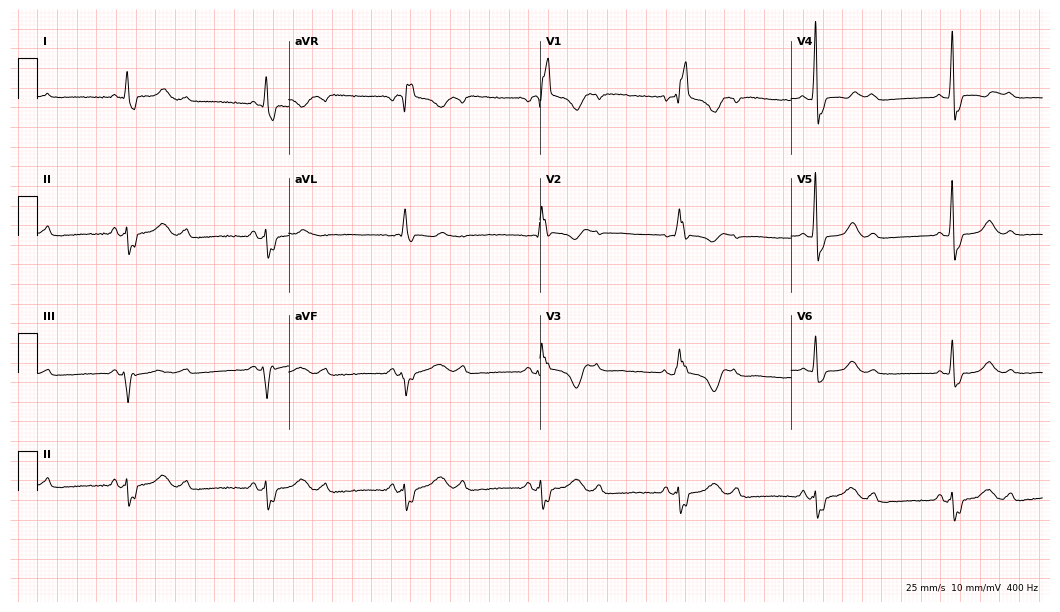
ECG — a female, 66 years old. Findings include right bundle branch block, sinus bradycardia (a sinus rate of 50 beats per minute or less).